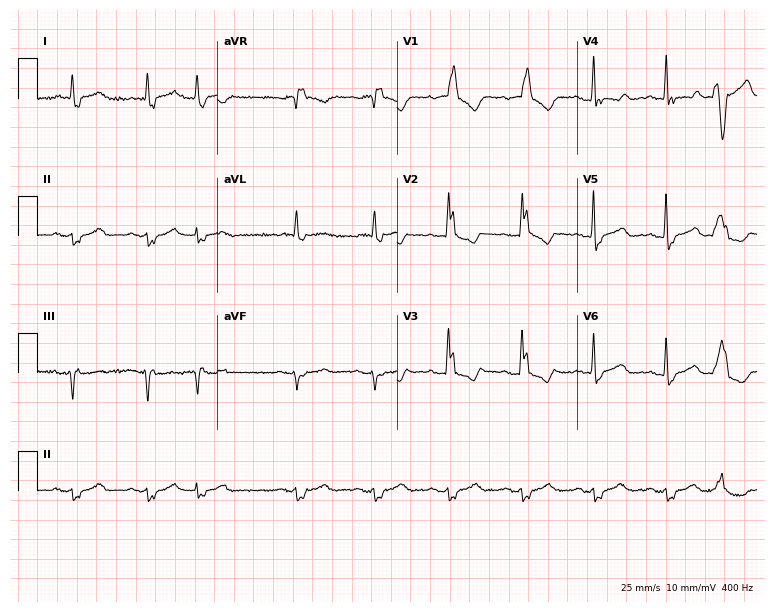
Resting 12-lead electrocardiogram. Patient: an 81-year-old man. The tracing shows right bundle branch block.